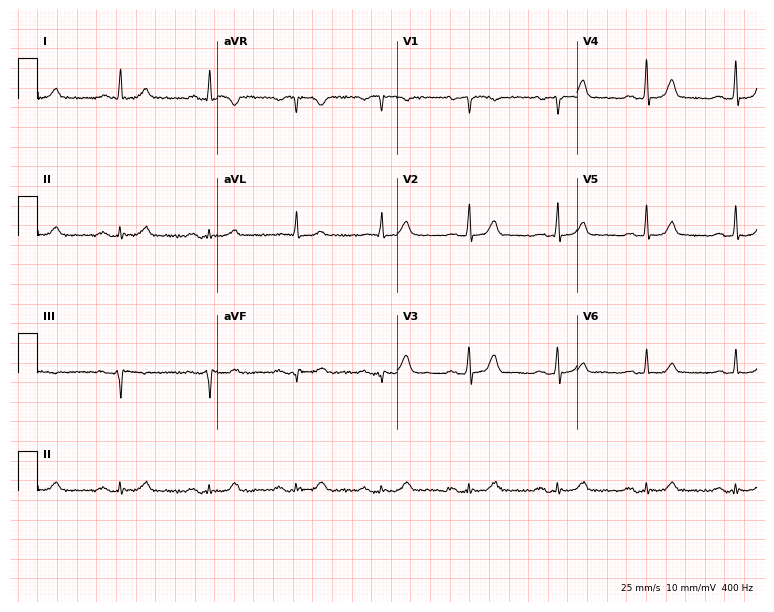
12-lead ECG from a 65-year-old female patient. Recorded interpretation: within normal limits.